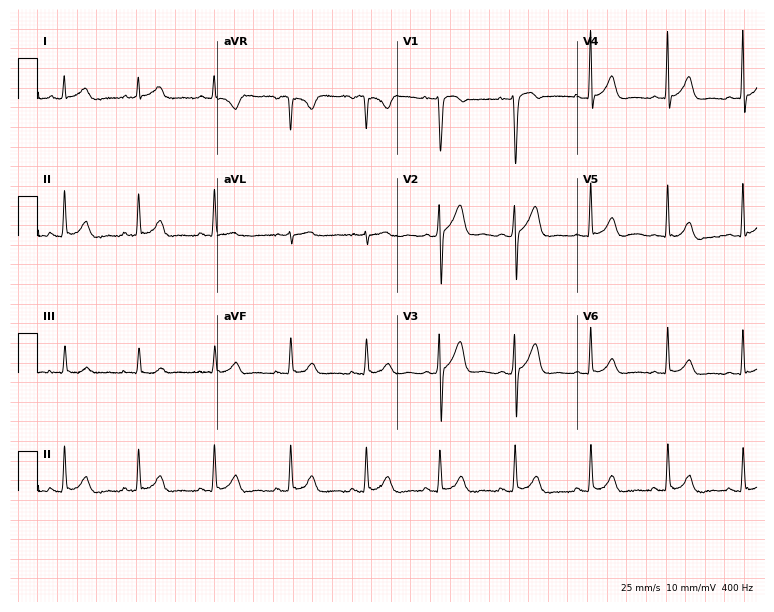
Resting 12-lead electrocardiogram (7.3-second recording at 400 Hz). Patient: a 52-year-old man. None of these six findings is recorded: first-degree AV block, right bundle branch block, left bundle branch block, sinus bradycardia, atrial fibrillation, sinus tachycardia. Findings outside these six are not listed.